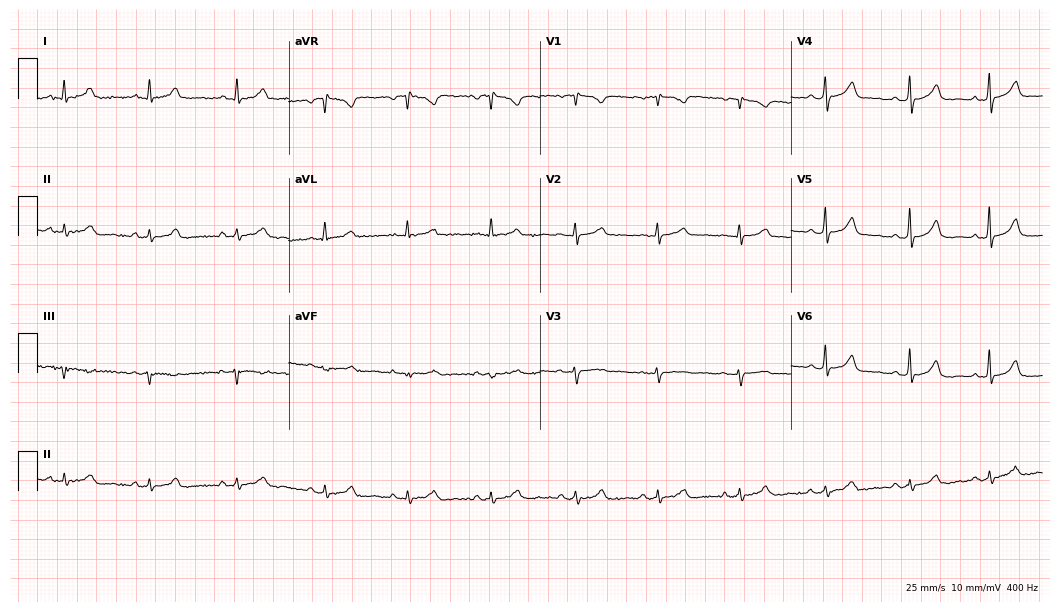
Standard 12-lead ECG recorded from a 47-year-old female (10.2-second recording at 400 Hz). Read as a normal ECG.